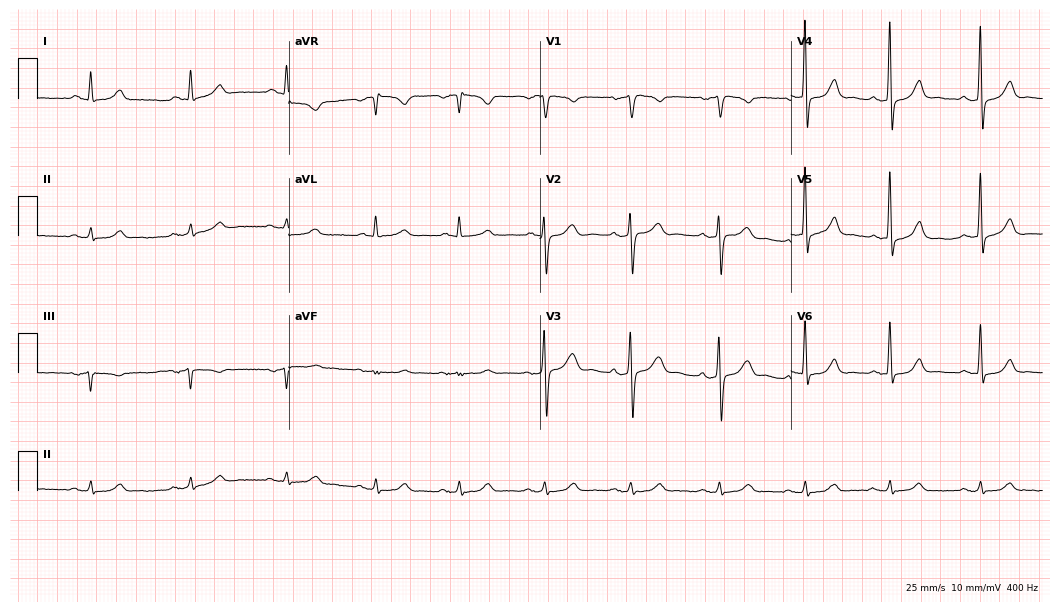
Resting 12-lead electrocardiogram (10.2-second recording at 400 Hz). Patient: a male, 53 years old. None of these six findings is recorded: first-degree AV block, right bundle branch block, left bundle branch block, sinus bradycardia, atrial fibrillation, sinus tachycardia. Findings outside these six are not listed.